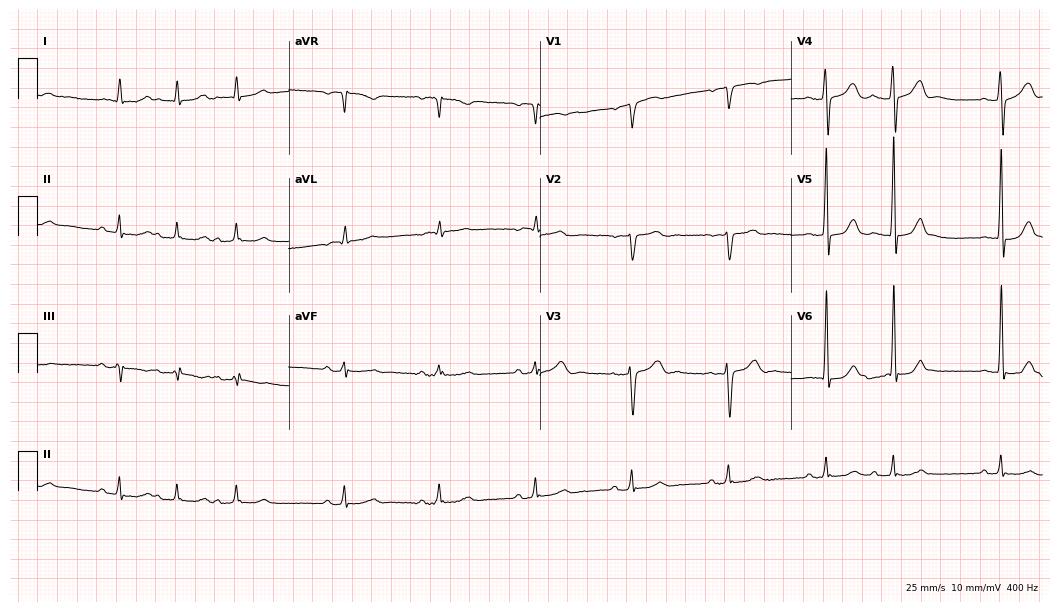
Resting 12-lead electrocardiogram (10.2-second recording at 400 Hz). Patient: a 77-year-old man. None of these six findings is recorded: first-degree AV block, right bundle branch block, left bundle branch block, sinus bradycardia, atrial fibrillation, sinus tachycardia.